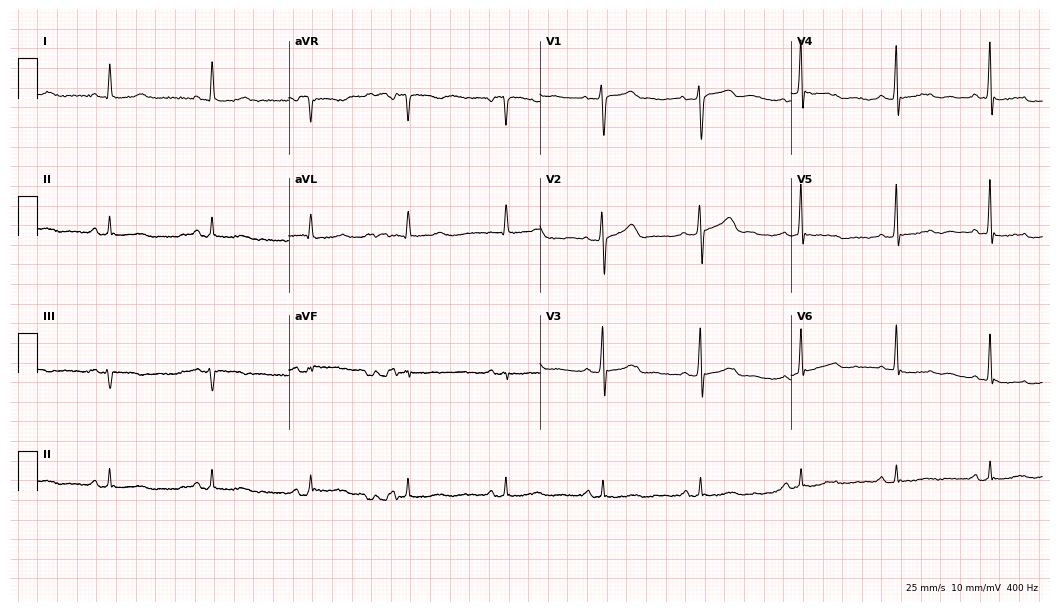
12-lead ECG (10.2-second recording at 400 Hz) from a man, 57 years old. Labelled as a normal ECG.